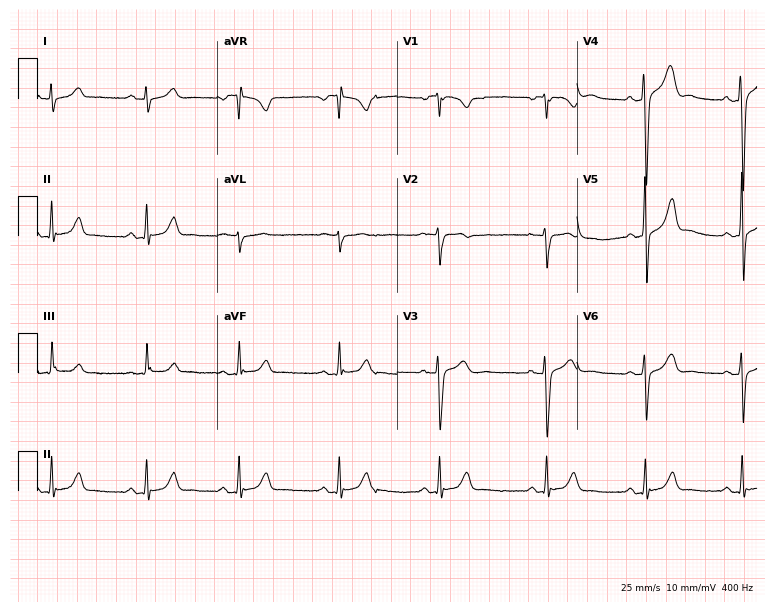
12-lead ECG from a 20-year-old man. Recorded interpretation: within normal limits.